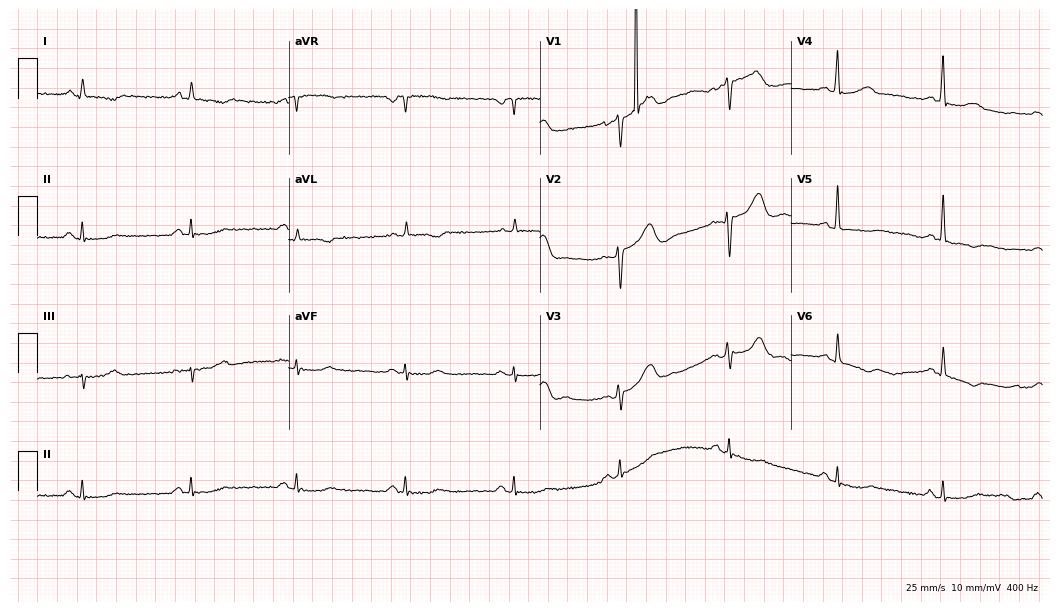
ECG — a male, 51 years old. Screened for six findings — first-degree AV block, right bundle branch block, left bundle branch block, sinus bradycardia, atrial fibrillation, sinus tachycardia — none is recorded.